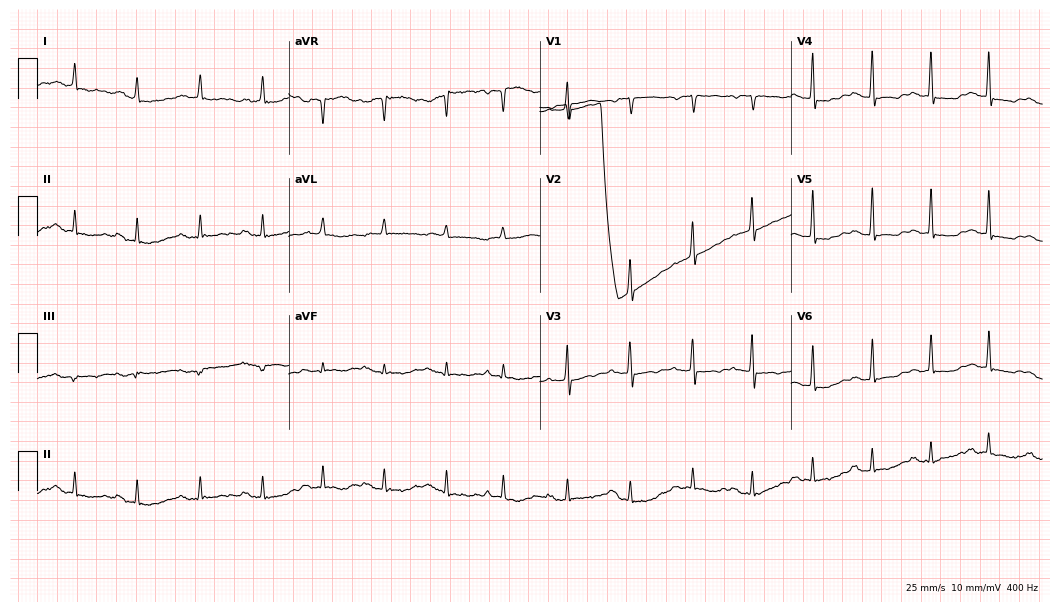
Standard 12-lead ECG recorded from a 77-year-old woman (10.2-second recording at 400 Hz). None of these six findings is recorded: first-degree AV block, right bundle branch block (RBBB), left bundle branch block (LBBB), sinus bradycardia, atrial fibrillation (AF), sinus tachycardia.